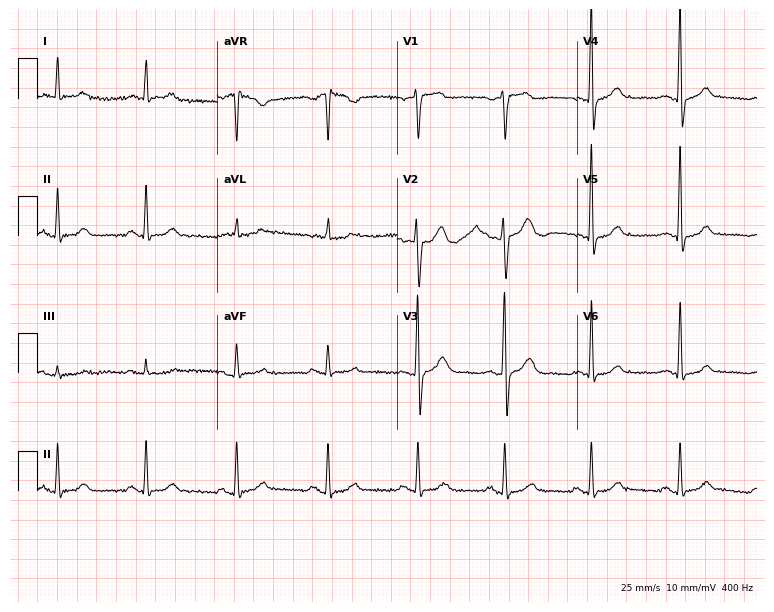
12-lead ECG from a man, 51 years old. Recorded interpretation: within normal limits.